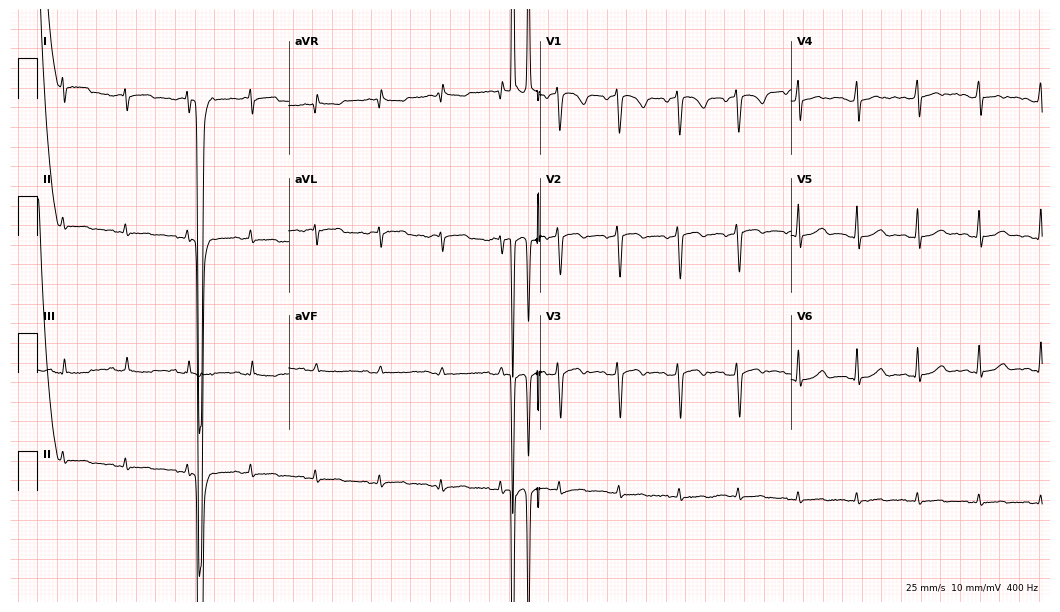
Standard 12-lead ECG recorded from a 39-year-old female. None of these six findings is recorded: first-degree AV block, right bundle branch block (RBBB), left bundle branch block (LBBB), sinus bradycardia, atrial fibrillation (AF), sinus tachycardia.